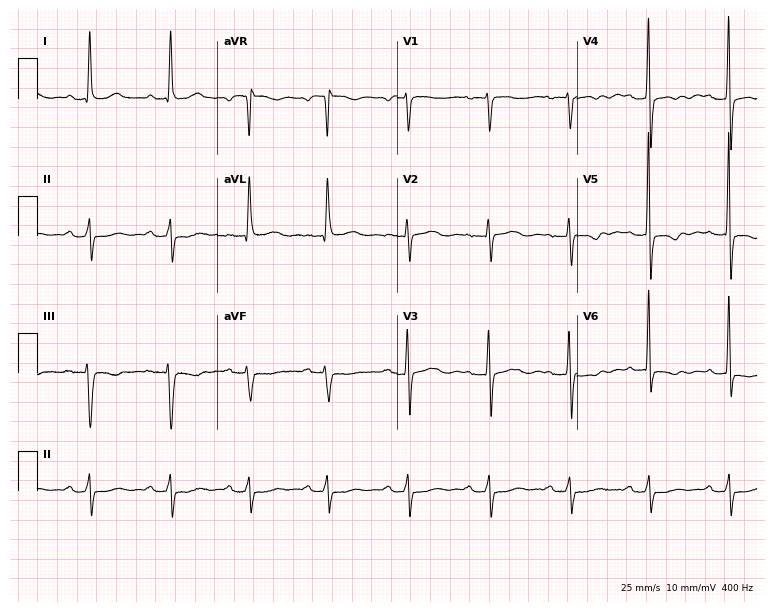
12-lead ECG (7.3-second recording at 400 Hz) from a 79-year-old woman. Screened for six findings — first-degree AV block, right bundle branch block, left bundle branch block, sinus bradycardia, atrial fibrillation, sinus tachycardia — none is recorded. Findings outside these six are not listed.